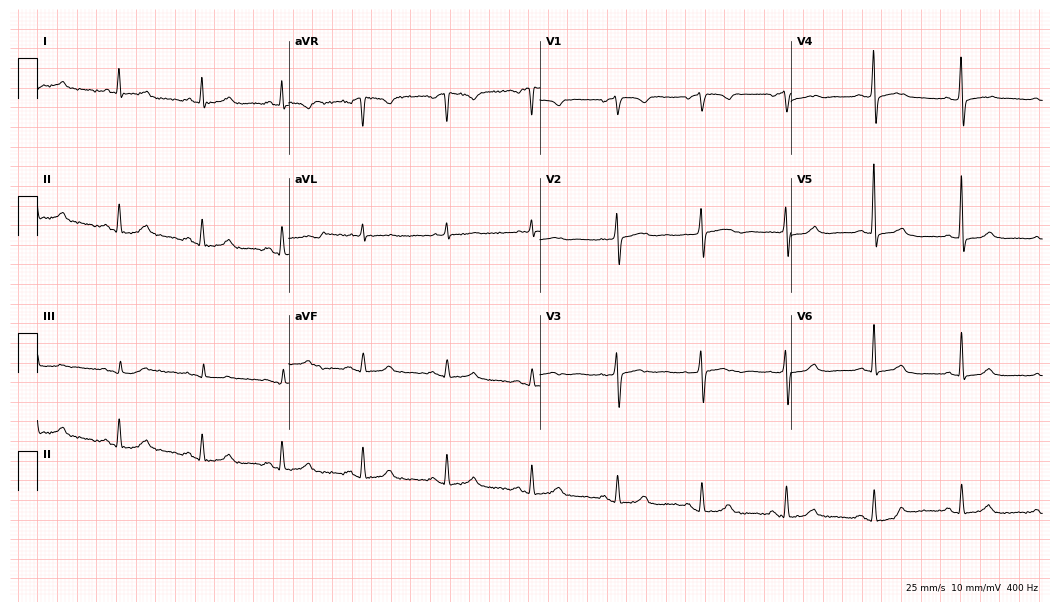
Resting 12-lead electrocardiogram (10.2-second recording at 400 Hz). Patient: a 58-year-old female. None of these six findings is recorded: first-degree AV block, right bundle branch block (RBBB), left bundle branch block (LBBB), sinus bradycardia, atrial fibrillation (AF), sinus tachycardia. Findings outside these six are not listed.